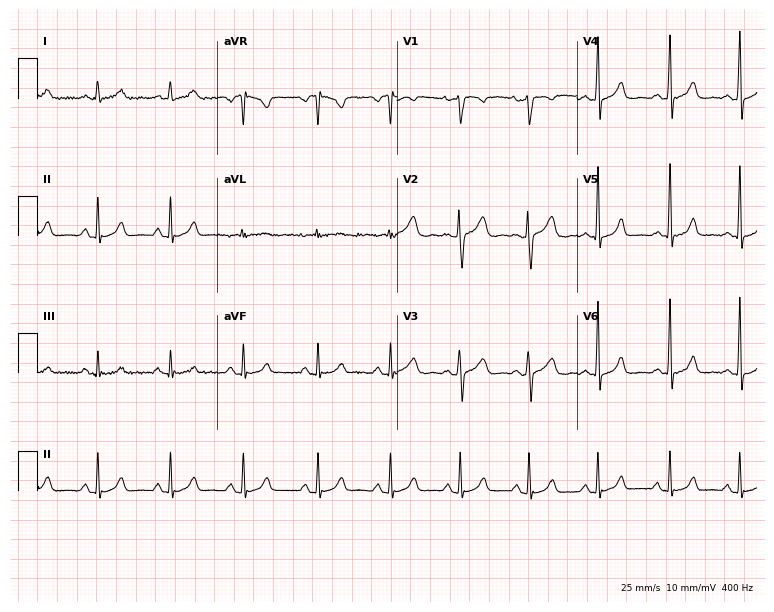
12-lead ECG from a female patient, 23 years old (7.3-second recording at 400 Hz). Recorded interpretation: within normal limits.